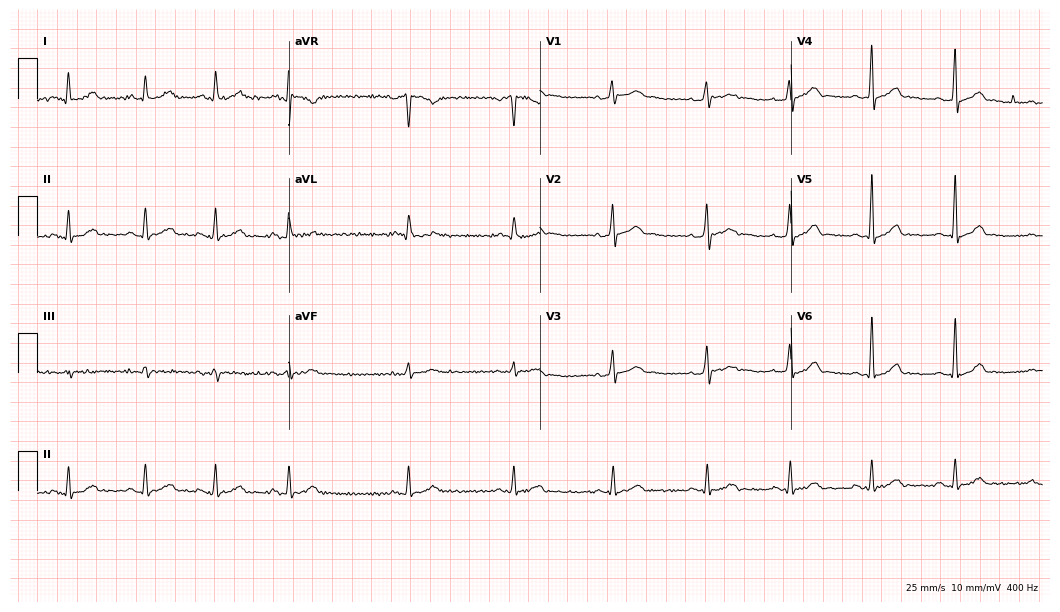
Resting 12-lead electrocardiogram (10.2-second recording at 400 Hz). Patient: a 29-year-old male. Read as a normal ECG.